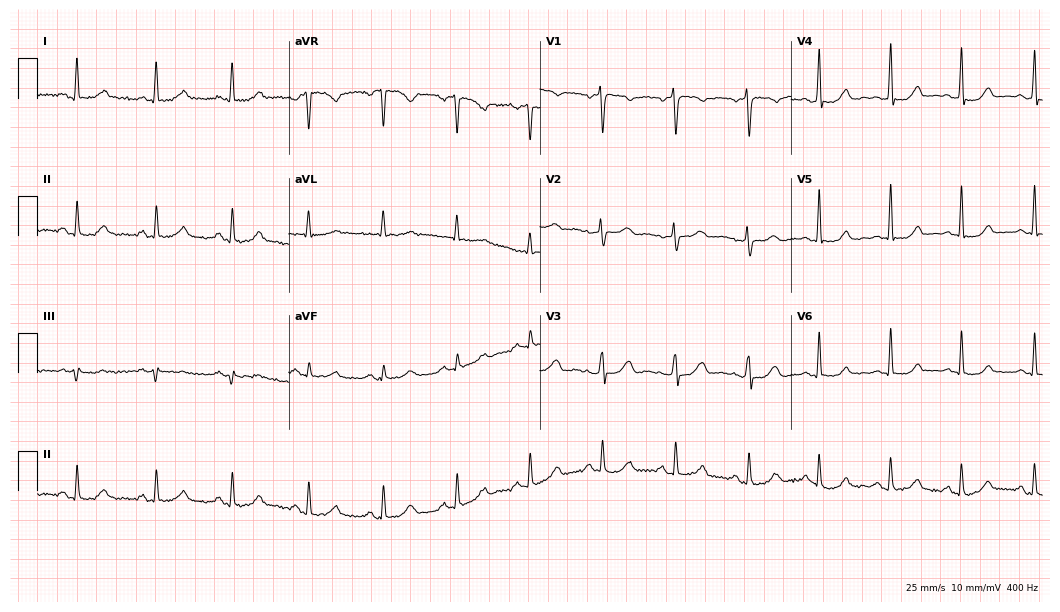
12-lead ECG from a 41-year-old female patient (10.2-second recording at 400 Hz). Recorded interpretation: within normal limits.